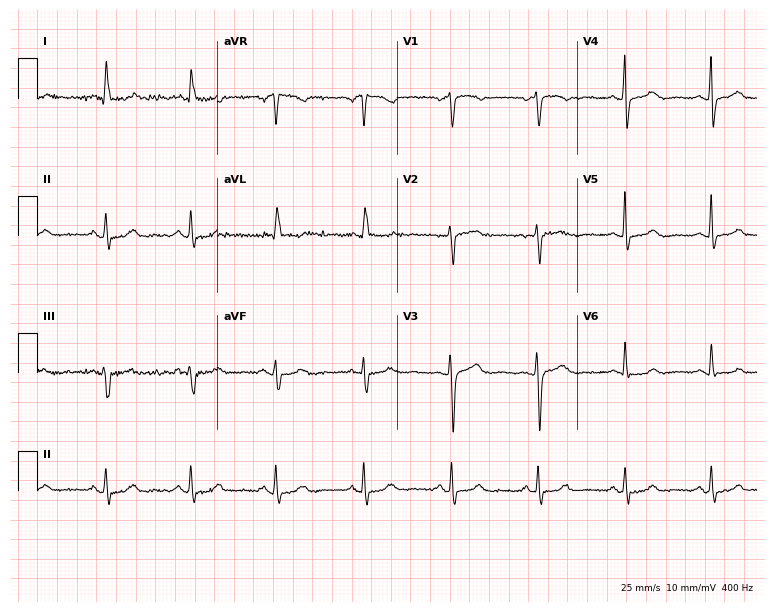
ECG (7.3-second recording at 400 Hz) — a female patient, 78 years old. Screened for six findings — first-degree AV block, right bundle branch block, left bundle branch block, sinus bradycardia, atrial fibrillation, sinus tachycardia — none is recorded.